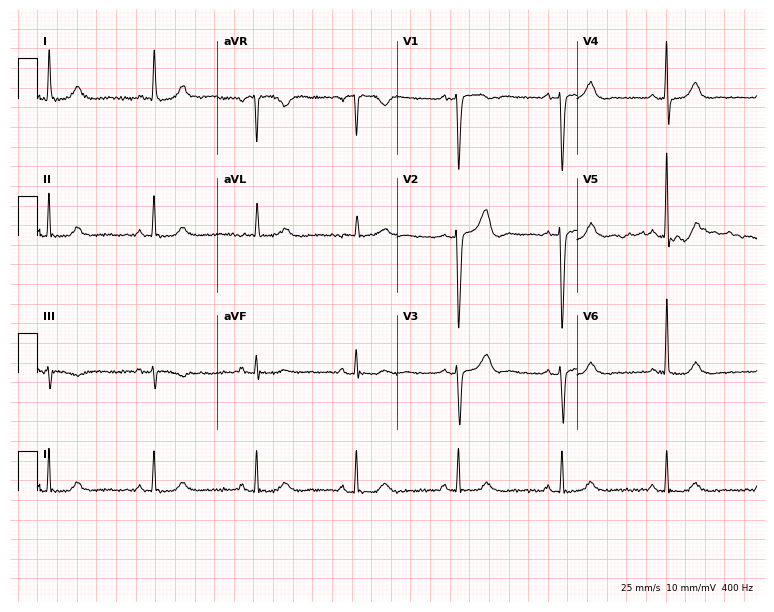
12-lead ECG from a woman, 74 years old. Recorded interpretation: within normal limits.